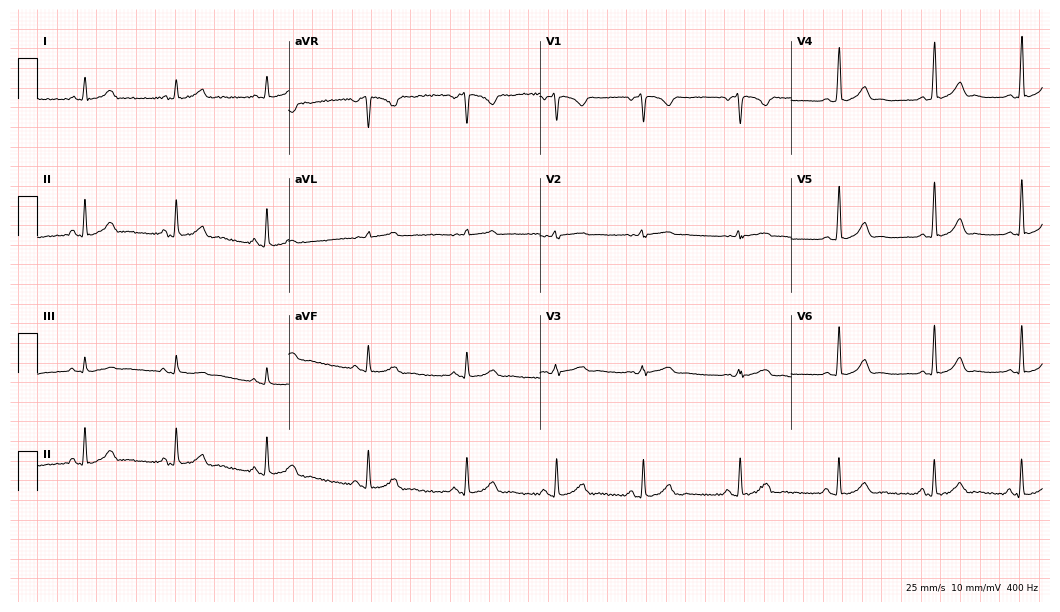
12-lead ECG (10.2-second recording at 400 Hz) from a female, 22 years old. Labelled as a normal ECG.